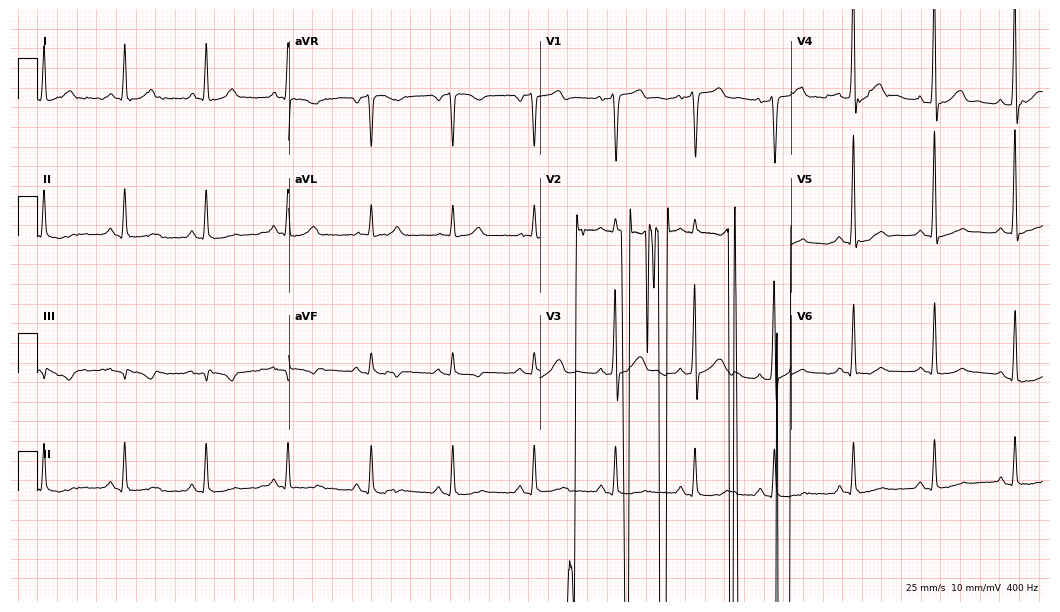
ECG (10.2-second recording at 400 Hz) — a 57-year-old male. Screened for six findings — first-degree AV block, right bundle branch block (RBBB), left bundle branch block (LBBB), sinus bradycardia, atrial fibrillation (AF), sinus tachycardia — none is recorded. Other findings, if any, are not listed.